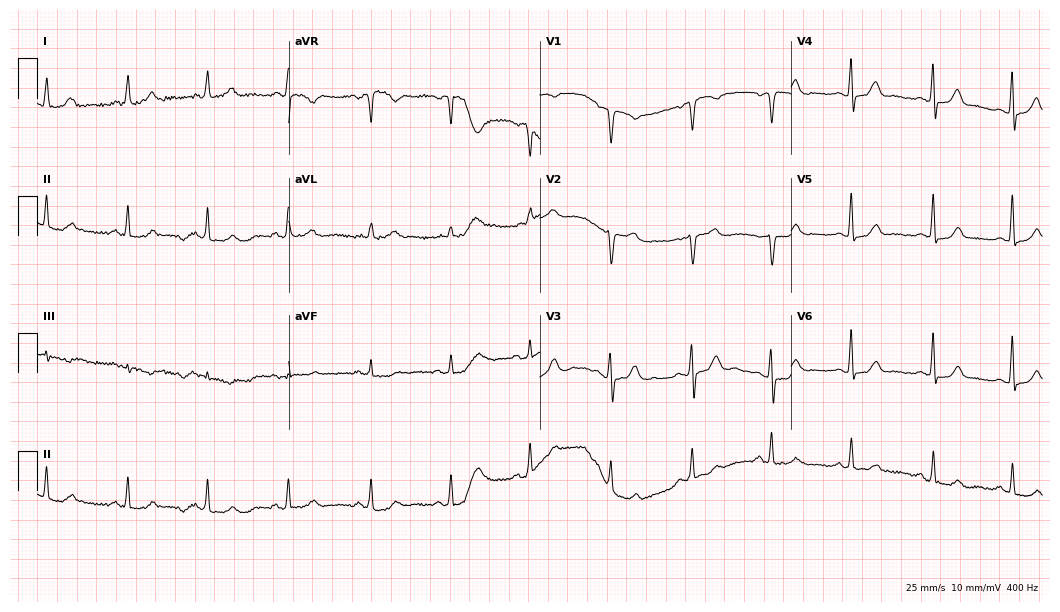
Electrocardiogram (10.2-second recording at 400 Hz), a 38-year-old female patient. Overall reading on record: normal ECG.